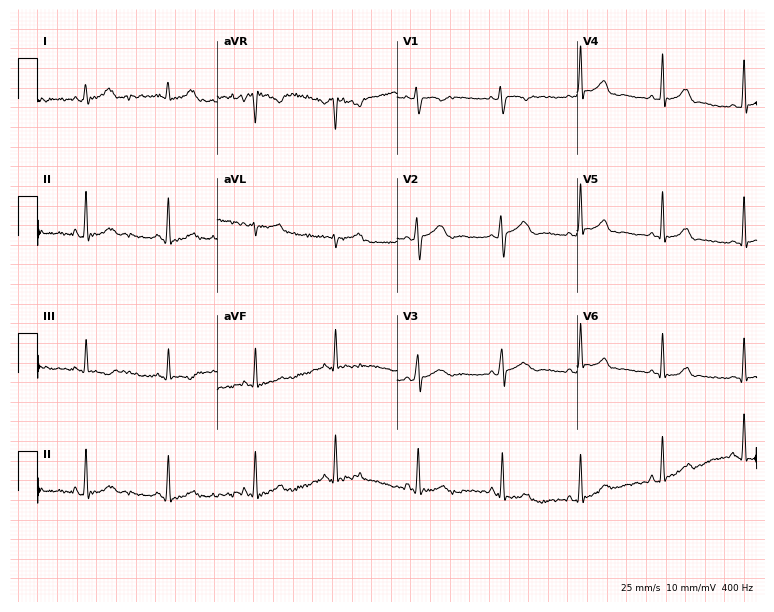
ECG (7.3-second recording at 400 Hz) — a 17-year-old female. Screened for six findings — first-degree AV block, right bundle branch block, left bundle branch block, sinus bradycardia, atrial fibrillation, sinus tachycardia — none is recorded. Other findings, if any, are not listed.